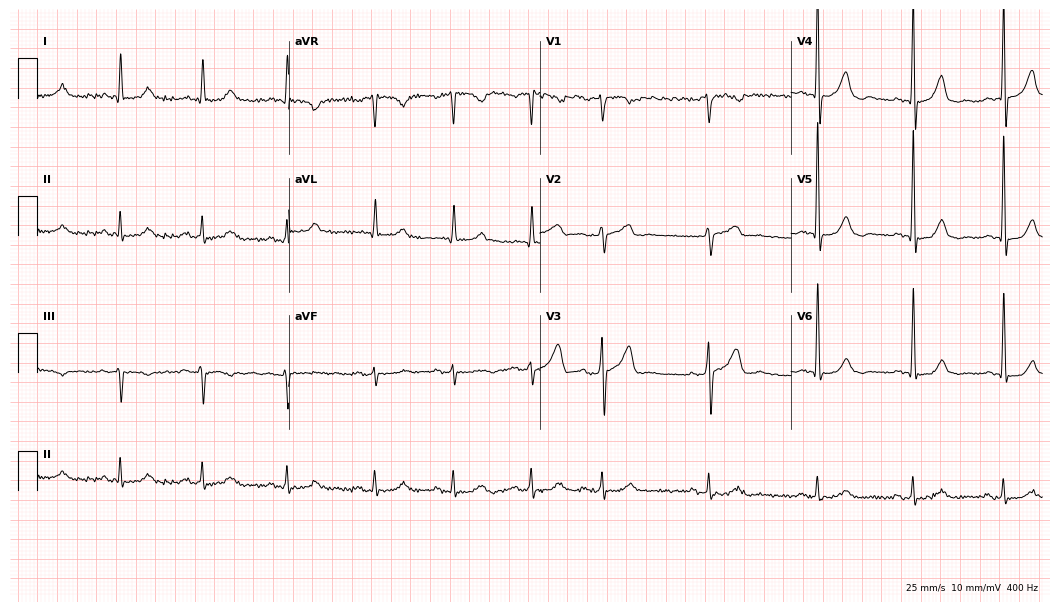
ECG — a 73-year-old male patient. Screened for six findings — first-degree AV block, right bundle branch block, left bundle branch block, sinus bradycardia, atrial fibrillation, sinus tachycardia — none is recorded.